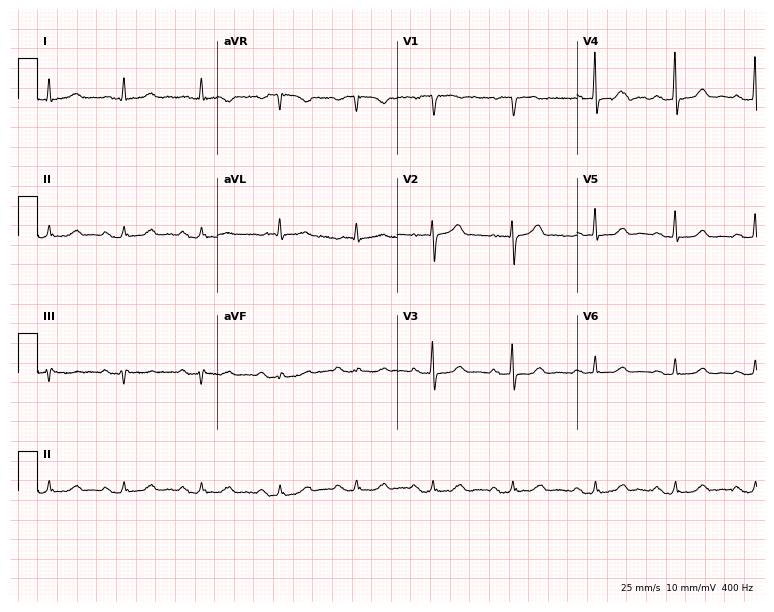
12-lead ECG (7.3-second recording at 400 Hz) from a 65-year-old female patient. Findings include first-degree AV block.